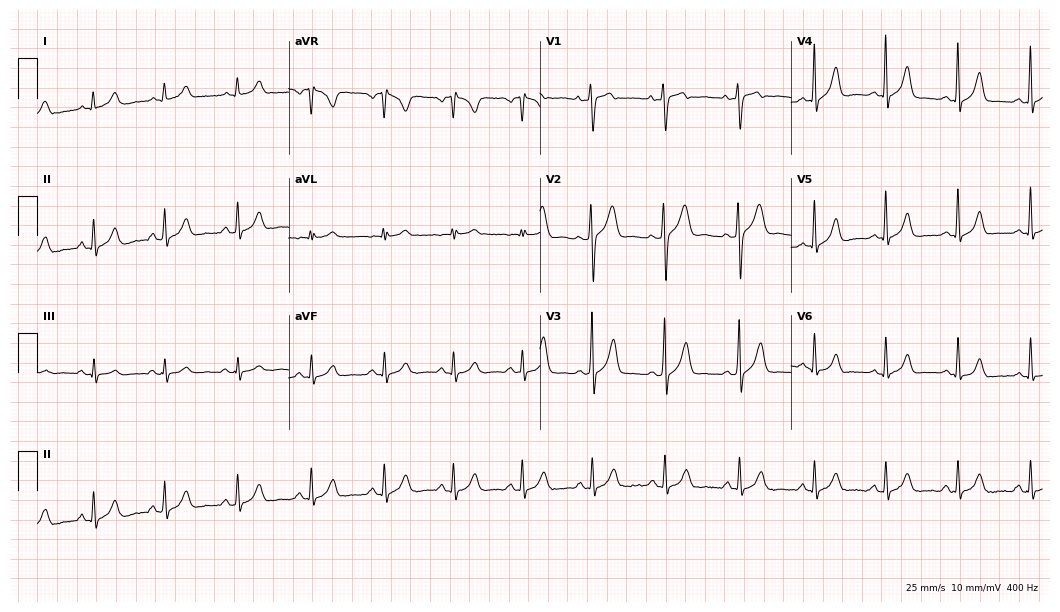
Standard 12-lead ECG recorded from a woman, 28 years old (10.2-second recording at 400 Hz). Read as a normal ECG.